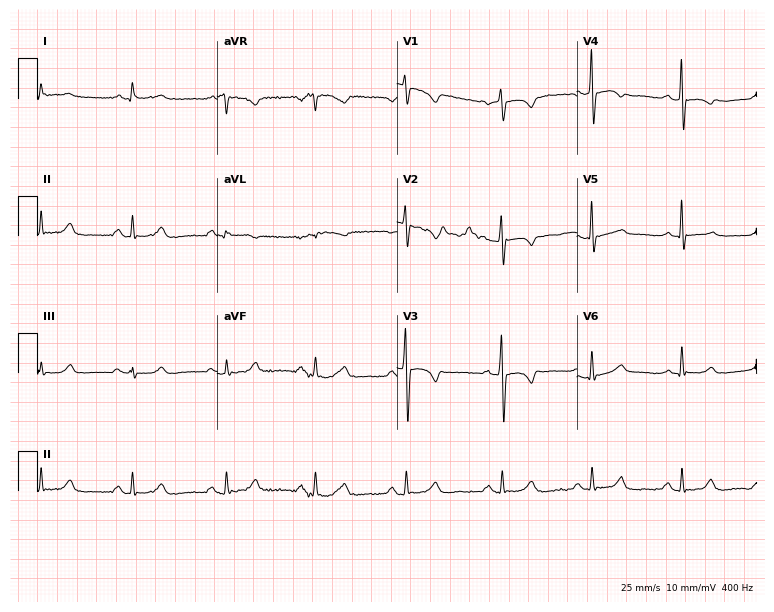
ECG — a female, 48 years old. Screened for six findings — first-degree AV block, right bundle branch block, left bundle branch block, sinus bradycardia, atrial fibrillation, sinus tachycardia — none is recorded. Only these six findings were labelled.